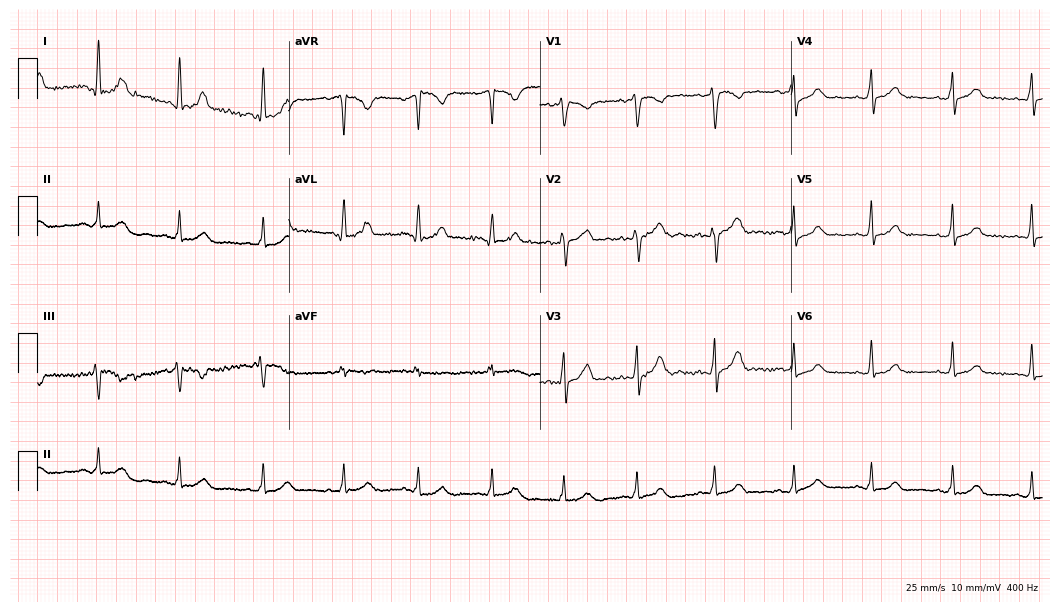
ECG — a female, 45 years old. Labelled as a normal ECG.